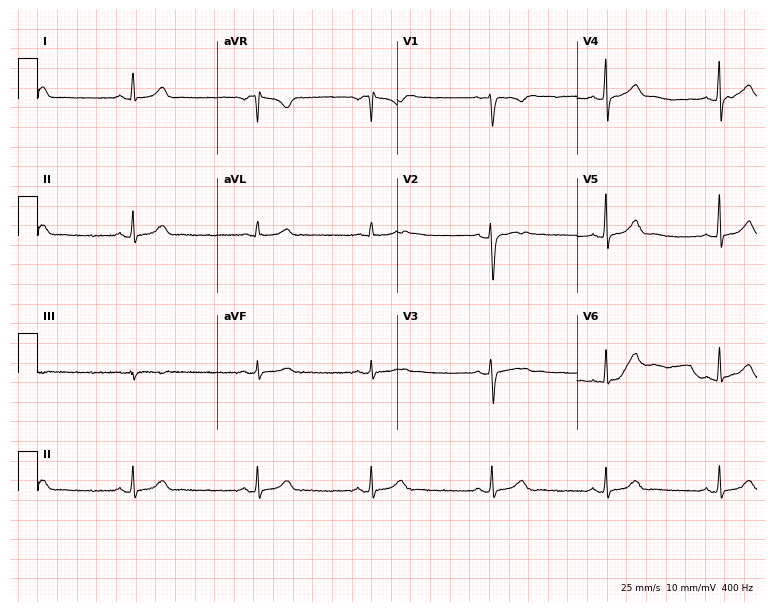
Electrocardiogram, a female patient, 21 years old. Interpretation includes sinus bradycardia (a sinus rate of 50 beats per minute or less).